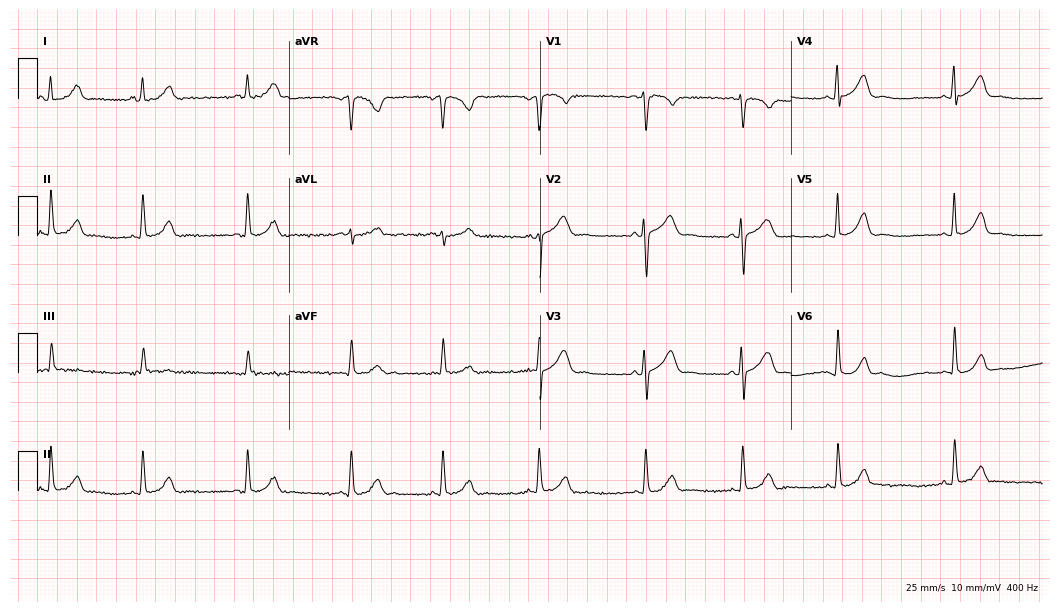
Electrocardiogram, a 19-year-old female. Overall reading on record: normal ECG.